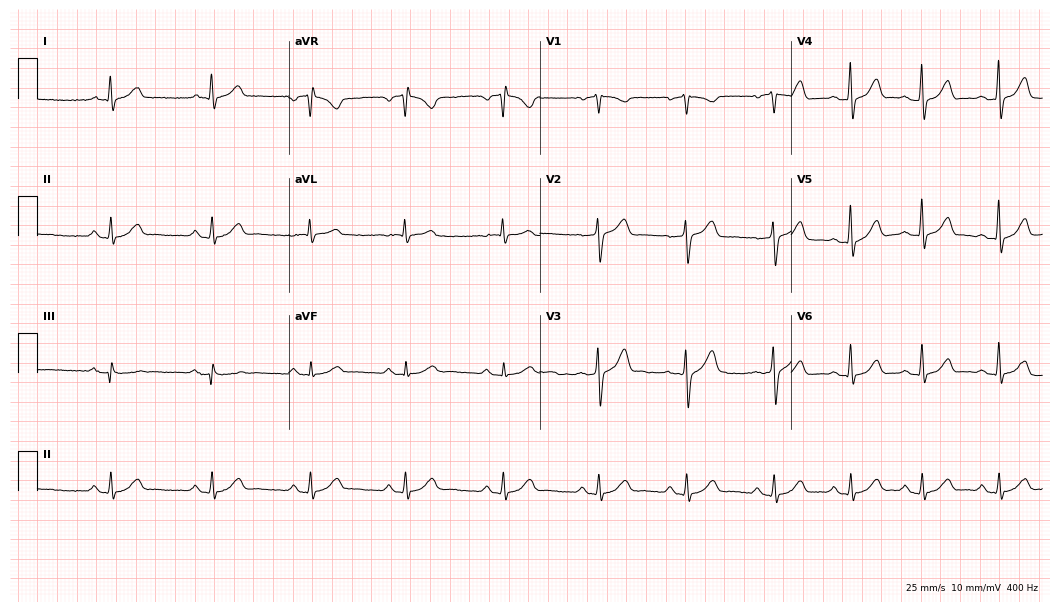
12-lead ECG from a male, 42 years old (10.2-second recording at 400 Hz). Recorded interpretation: within normal limits.